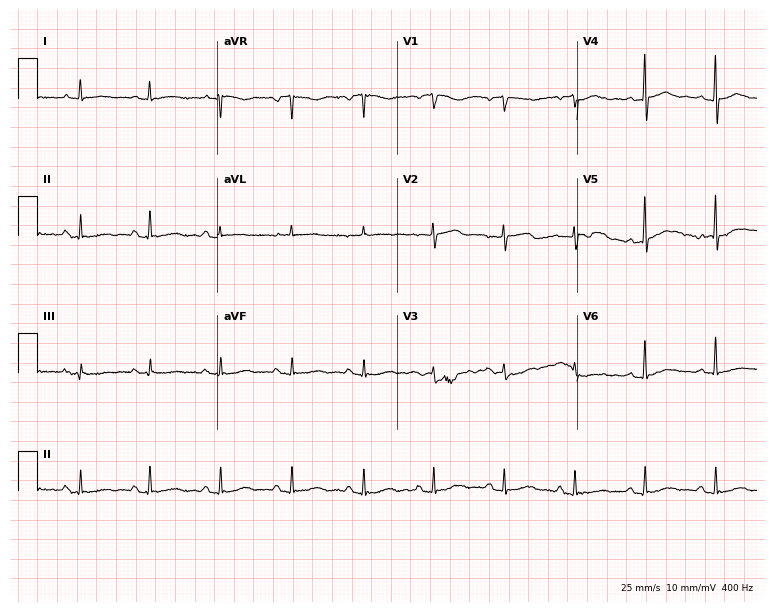
12-lead ECG from a female, 61 years old (7.3-second recording at 400 Hz). Recorded interpretation: within normal limits.